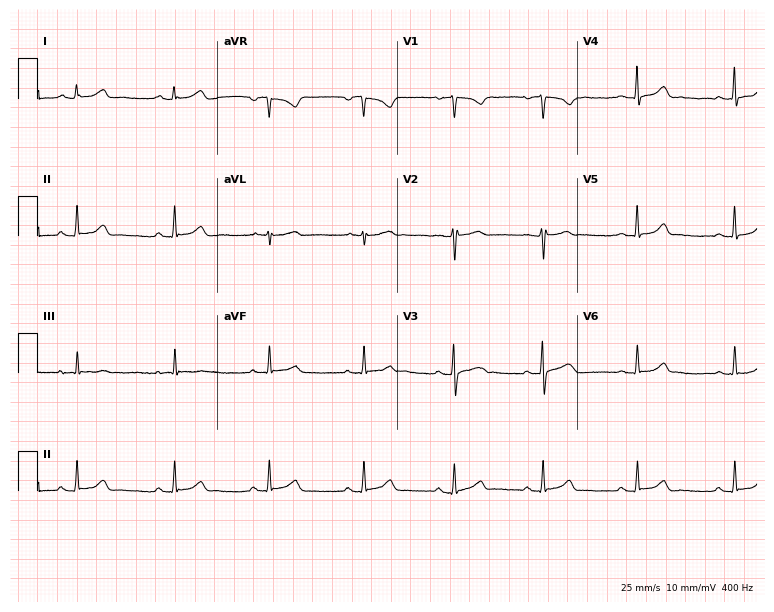
Standard 12-lead ECG recorded from a woman, 21 years old. Read as a normal ECG.